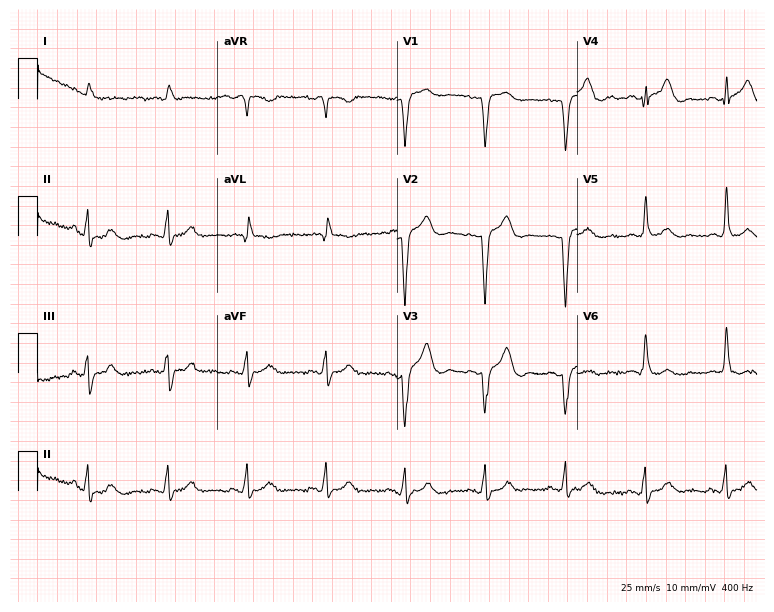
ECG (7.3-second recording at 400 Hz) — an 85-year-old man. Screened for six findings — first-degree AV block, right bundle branch block (RBBB), left bundle branch block (LBBB), sinus bradycardia, atrial fibrillation (AF), sinus tachycardia — none is recorded.